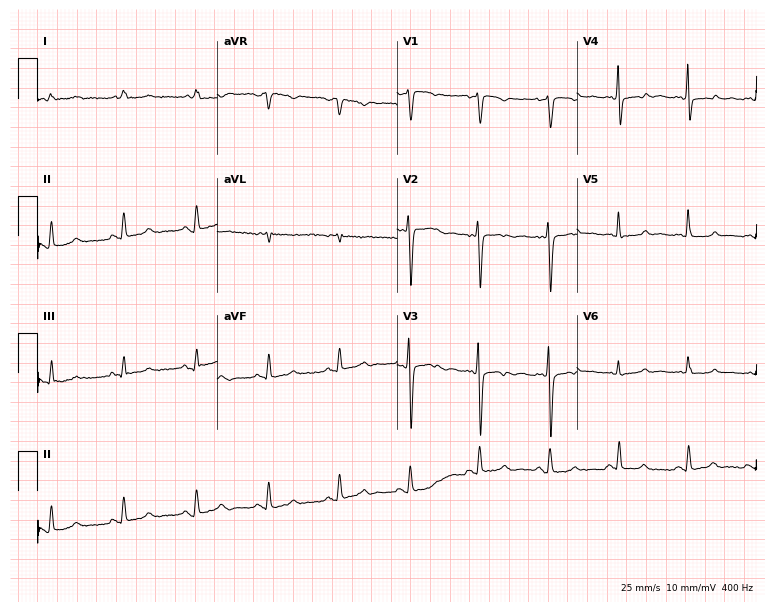
Resting 12-lead electrocardiogram. Patient: a woman, 54 years old. None of these six findings is recorded: first-degree AV block, right bundle branch block (RBBB), left bundle branch block (LBBB), sinus bradycardia, atrial fibrillation (AF), sinus tachycardia. Other findings, if any, are not listed.